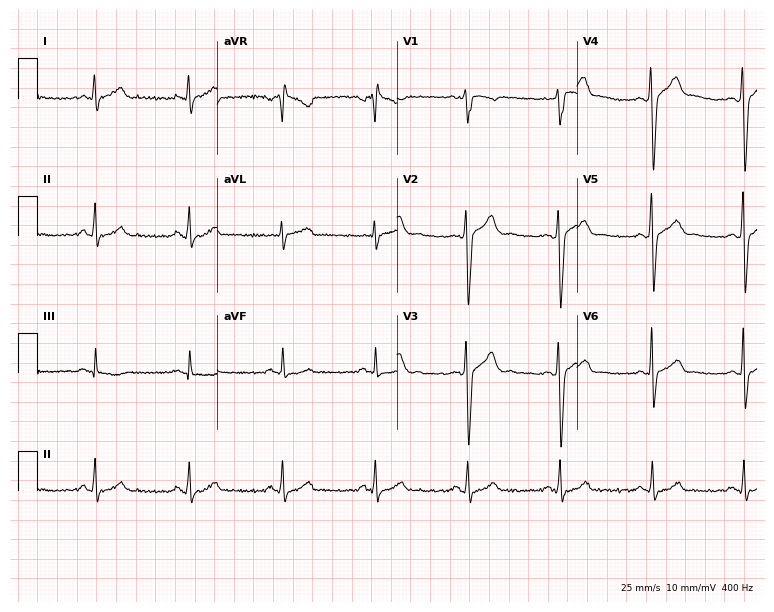
12-lead ECG (7.3-second recording at 400 Hz) from a 27-year-old male patient. Screened for six findings — first-degree AV block, right bundle branch block, left bundle branch block, sinus bradycardia, atrial fibrillation, sinus tachycardia — none is recorded. Other findings, if any, are not listed.